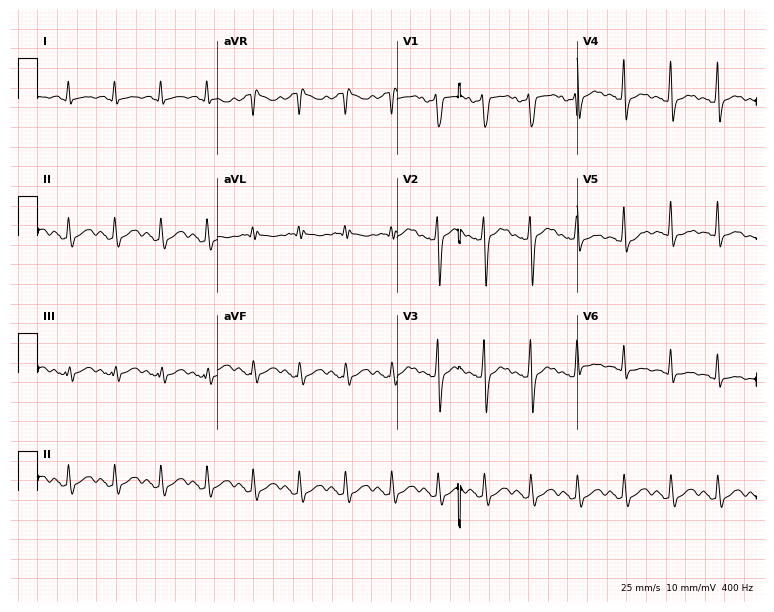
Resting 12-lead electrocardiogram (7.3-second recording at 400 Hz). Patient: a man, 43 years old. The tracing shows sinus tachycardia (a sinus rate of 100 beats per minute or more).